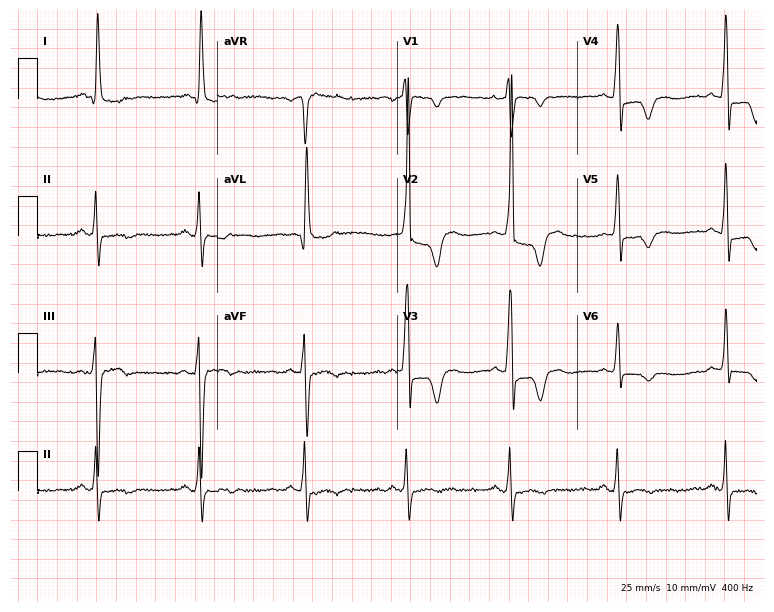
Electrocardiogram (7.3-second recording at 400 Hz), a 71-year-old female. Of the six screened findings (first-degree AV block, right bundle branch block, left bundle branch block, sinus bradycardia, atrial fibrillation, sinus tachycardia), none is recorded. Findings outside these six are not listed.